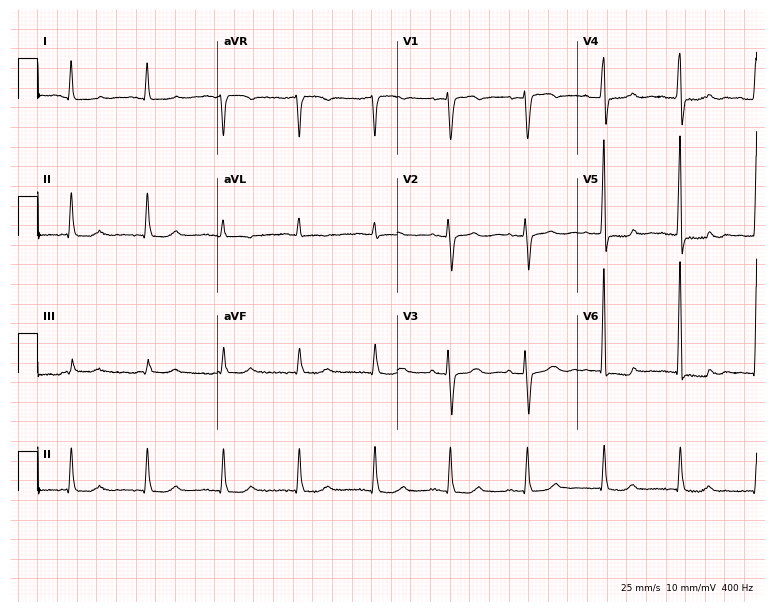
ECG (7.3-second recording at 400 Hz) — an 82-year-old female patient. Screened for six findings — first-degree AV block, right bundle branch block (RBBB), left bundle branch block (LBBB), sinus bradycardia, atrial fibrillation (AF), sinus tachycardia — none is recorded.